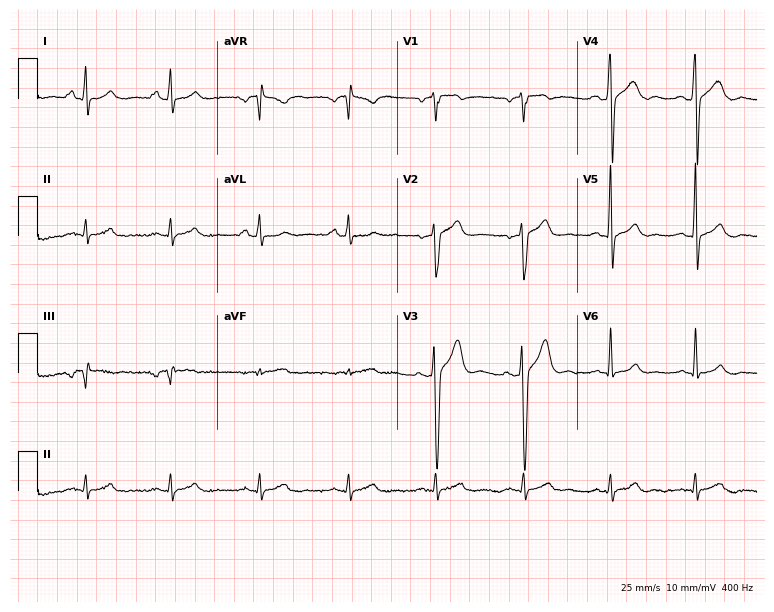
Electrocardiogram (7.3-second recording at 400 Hz), a male, 45 years old. Overall reading on record: normal ECG.